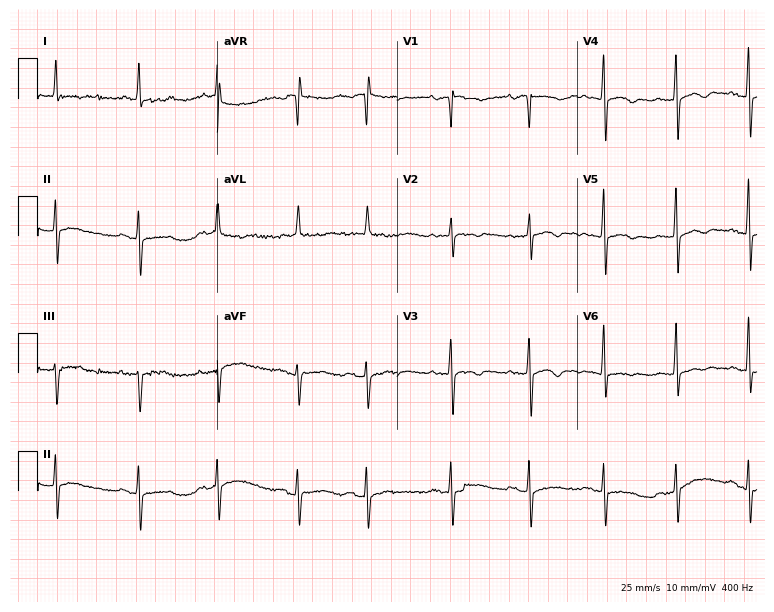
12-lead ECG from a woman, 75 years old. Screened for six findings — first-degree AV block, right bundle branch block, left bundle branch block, sinus bradycardia, atrial fibrillation, sinus tachycardia — none is recorded. Other findings, if any, are not listed.